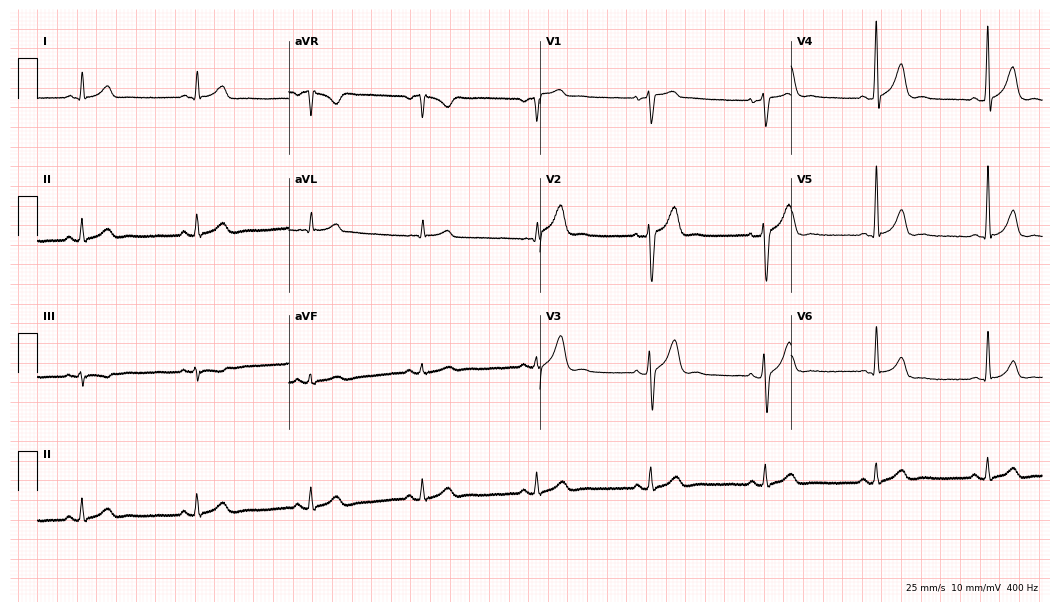
ECG (10.2-second recording at 400 Hz) — a 45-year-old male patient. Labelled as a normal ECG.